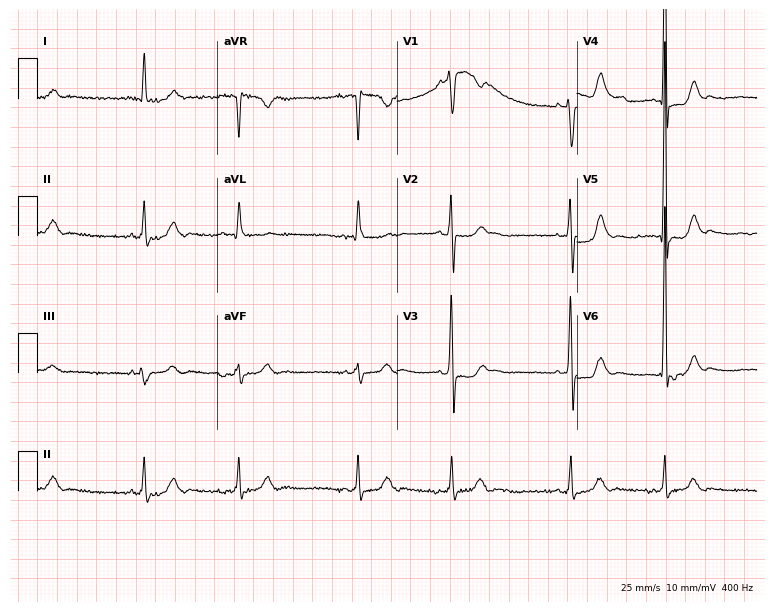
12-lead ECG (7.3-second recording at 400 Hz) from a man, 84 years old. Screened for six findings — first-degree AV block, right bundle branch block, left bundle branch block, sinus bradycardia, atrial fibrillation, sinus tachycardia — none is recorded. Only these six findings were labelled.